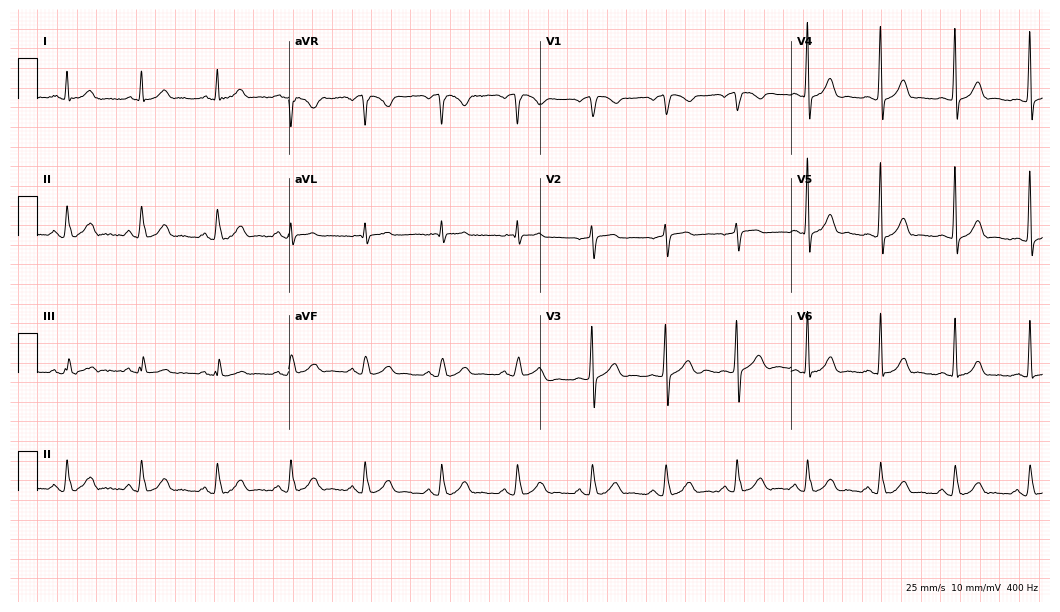
Resting 12-lead electrocardiogram (10.2-second recording at 400 Hz). Patient: a male, 49 years old. Read as a normal ECG.